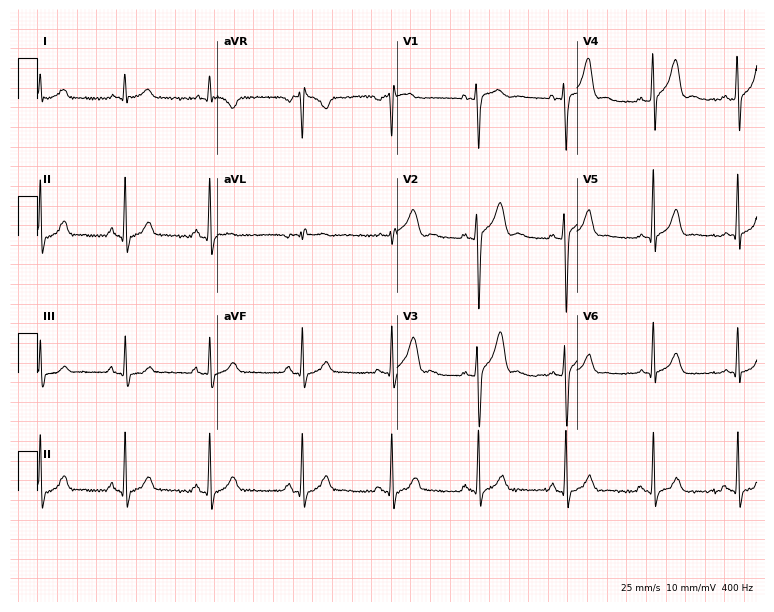
12-lead ECG from a male, 27 years old. No first-degree AV block, right bundle branch block, left bundle branch block, sinus bradycardia, atrial fibrillation or sinus tachycardia recorded for this tracing. Findings outside these six are not listed.